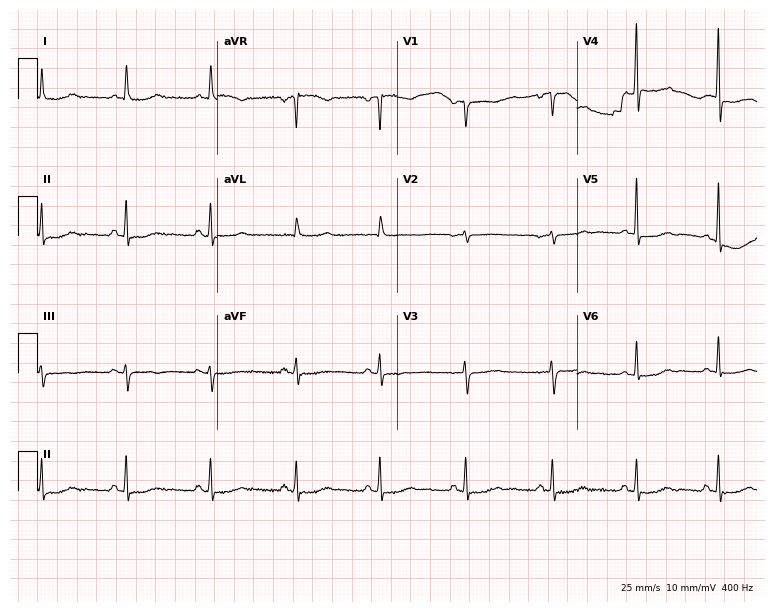
12-lead ECG from a 69-year-old female patient (7.3-second recording at 400 Hz). No first-degree AV block, right bundle branch block, left bundle branch block, sinus bradycardia, atrial fibrillation or sinus tachycardia recorded for this tracing. Only these six findings were labelled.